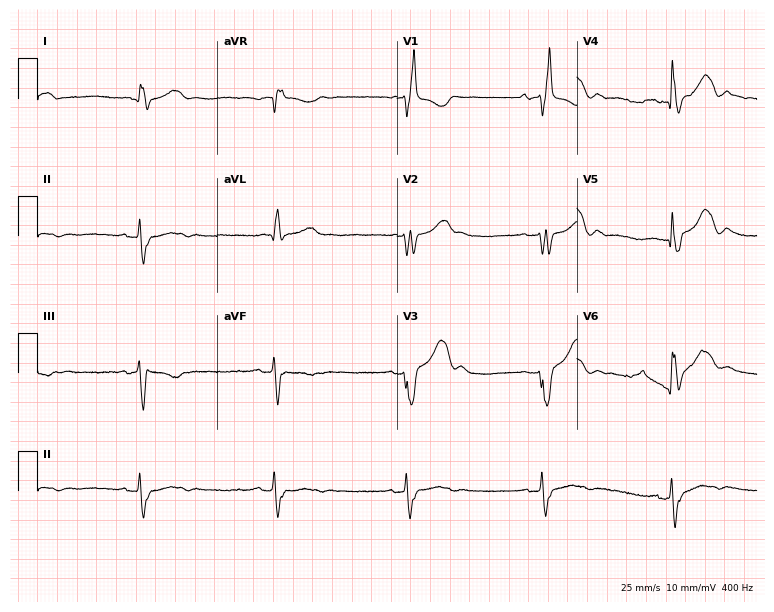
12-lead ECG from a male patient, 74 years old. Shows right bundle branch block.